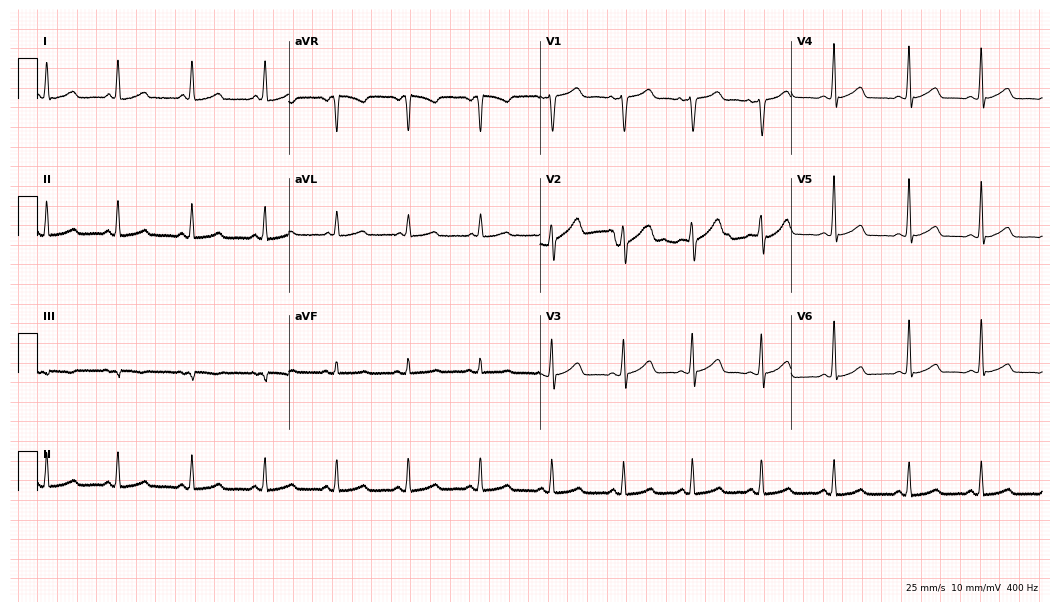
Electrocardiogram, a female, 39 years old. Of the six screened findings (first-degree AV block, right bundle branch block, left bundle branch block, sinus bradycardia, atrial fibrillation, sinus tachycardia), none is recorded. Findings outside these six are not listed.